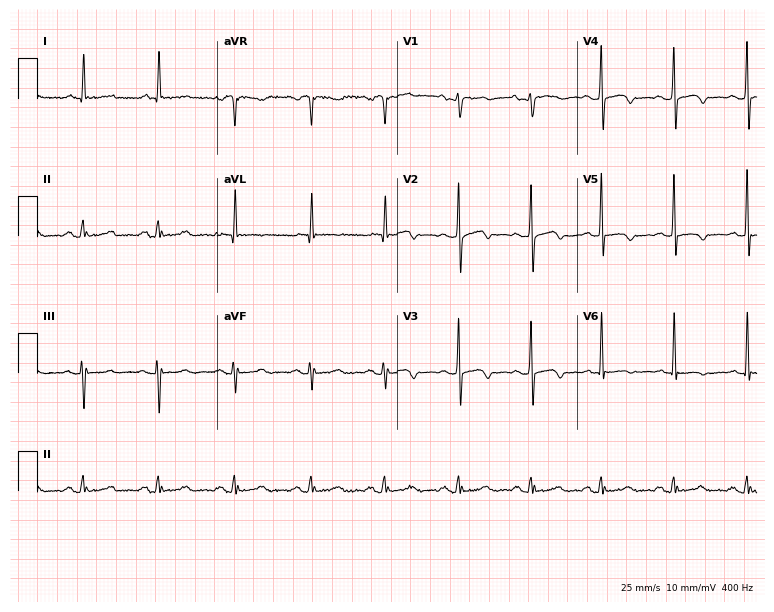
ECG — a 61-year-old female. Screened for six findings — first-degree AV block, right bundle branch block (RBBB), left bundle branch block (LBBB), sinus bradycardia, atrial fibrillation (AF), sinus tachycardia — none is recorded.